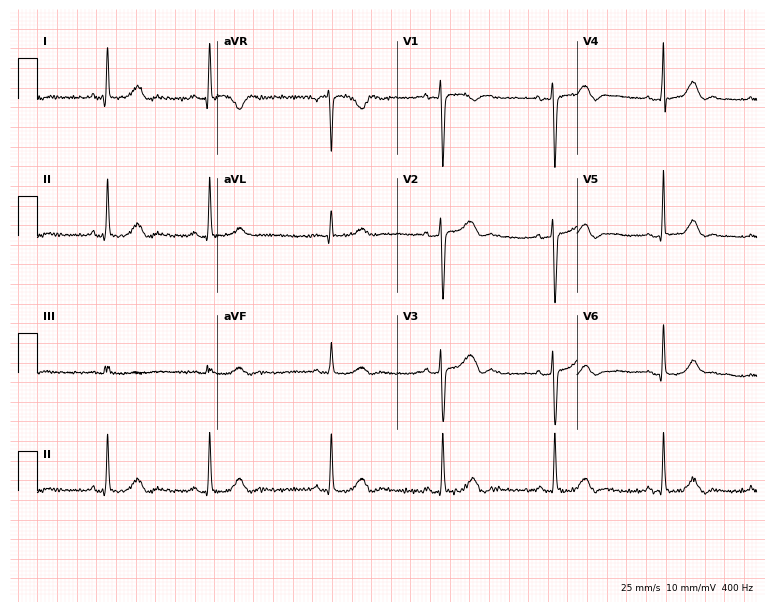
Standard 12-lead ECG recorded from a man, 29 years old (7.3-second recording at 400 Hz). Read as a normal ECG.